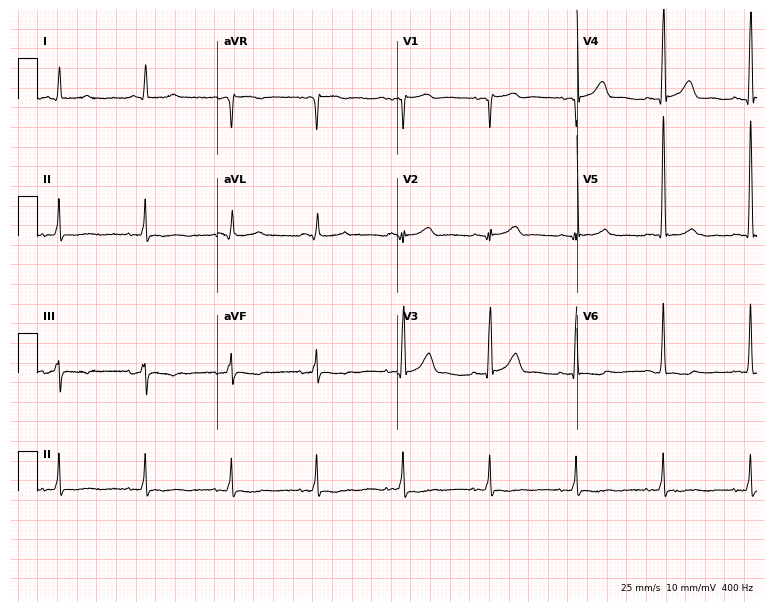
Standard 12-lead ECG recorded from a 59-year-old man (7.3-second recording at 400 Hz). None of these six findings is recorded: first-degree AV block, right bundle branch block, left bundle branch block, sinus bradycardia, atrial fibrillation, sinus tachycardia.